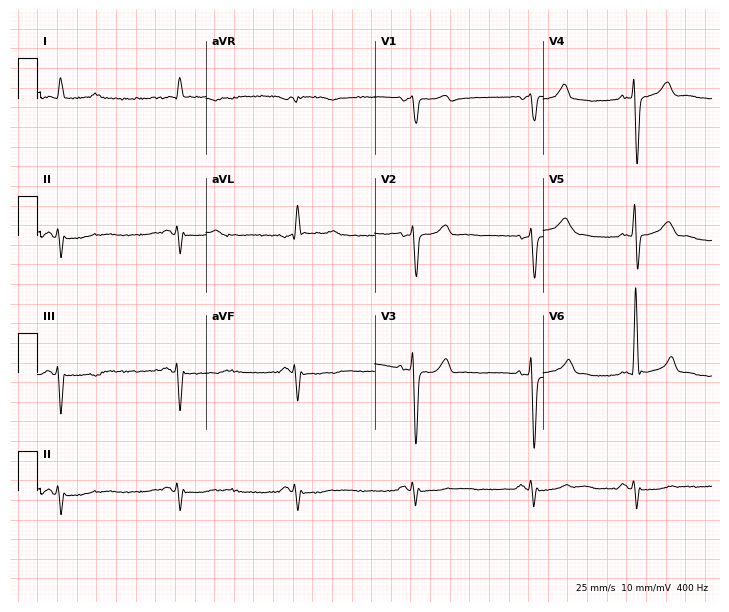
ECG — a 75-year-old male. Screened for six findings — first-degree AV block, right bundle branch block, left bundle branch block, sinus bradycardia, atrial fibrillation, sinus tachycardia — none is recorded. Findings outside these six are not listed.